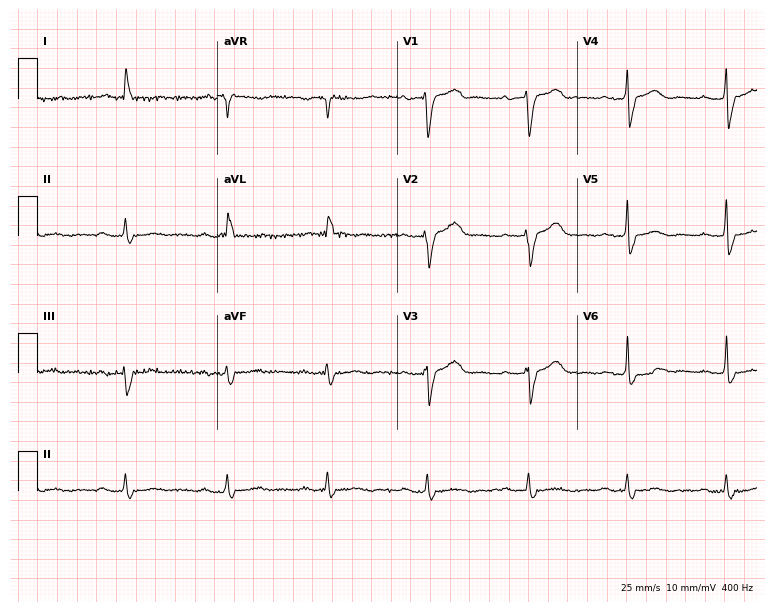
Resting 12-lead electrocardiogram. Patient: an 84-year-old male. The tracing shows first-degree AV block, left bundle branch block.